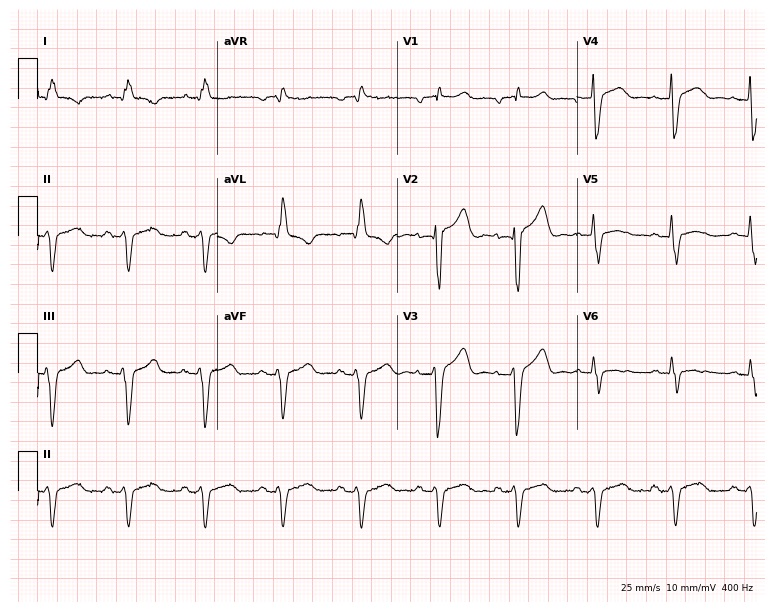
ECG (7.3-second recording at 400 Hz) — a man, 75 years old. Findings include right bundle branch block (RBBB).